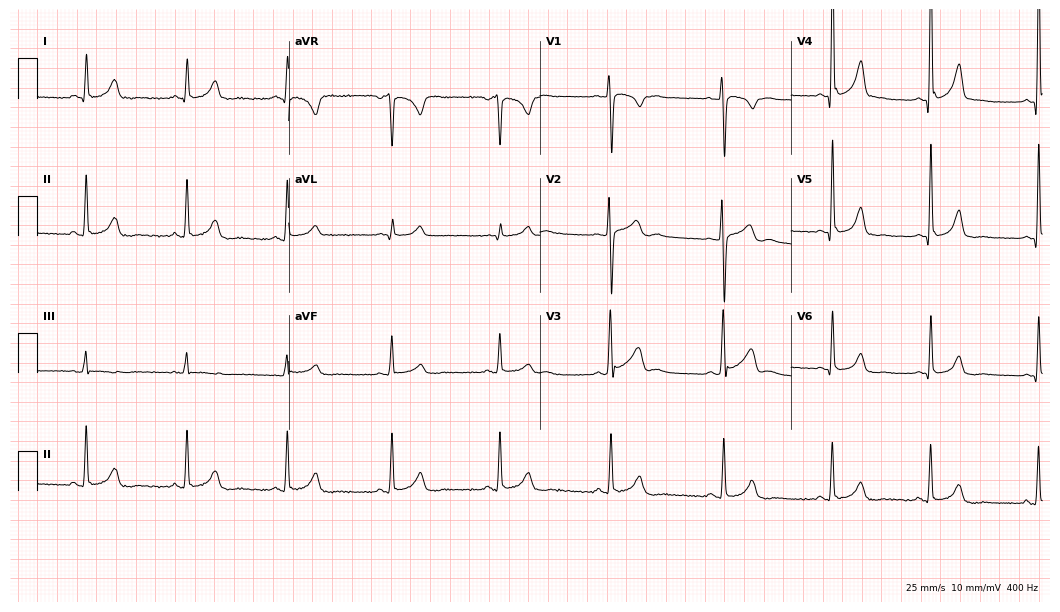
ECG (10.2-second recording at 400 Hz) — a 42-year-old man. Screened for six findings — first-degree AV block, right bundle branch block, left bundle branch block, sinus bradycardia, atrial fibrillation, sinus tachycardia — none is recorded. Other findings, if any, are not listed.